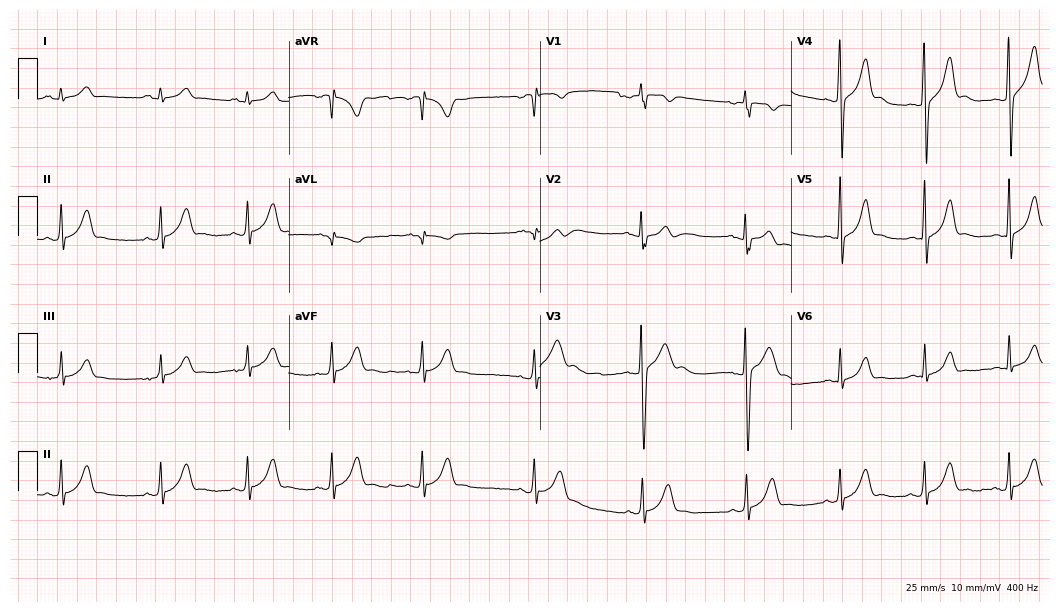
Electrocardiogram, a male, 17 years old. Overall reading on record: normal ECG.